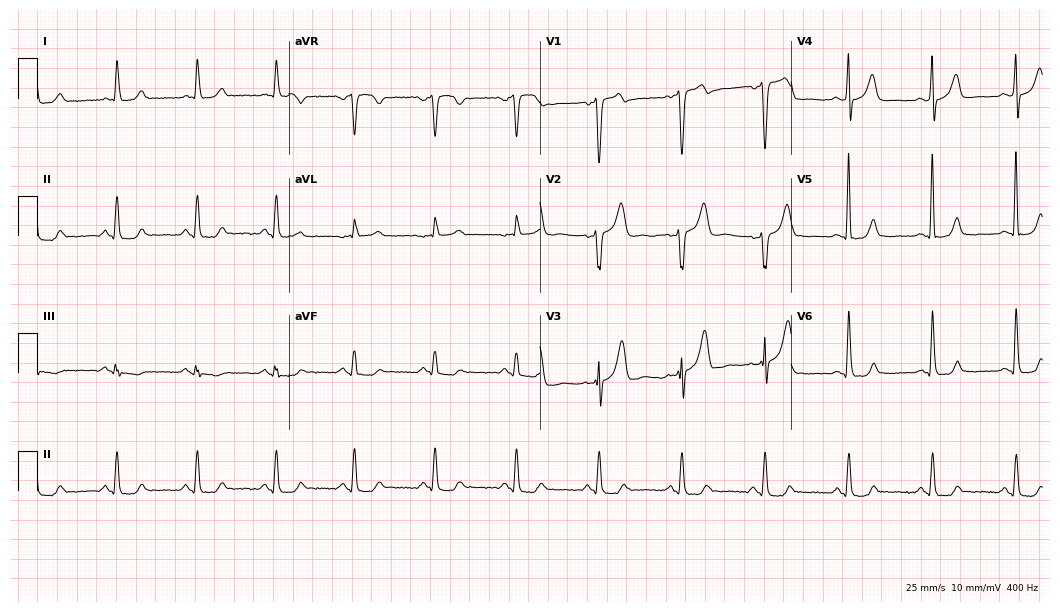
12-lead ECG (10.2-second recording at 400 Hz) from a 62-year-old male patient. Screened for six findings — first-degree AV block, right bundle branch block, left bundle branch block, sinus bradycardia, atrial fibrillation, sinus tachycardia — none is recorded.